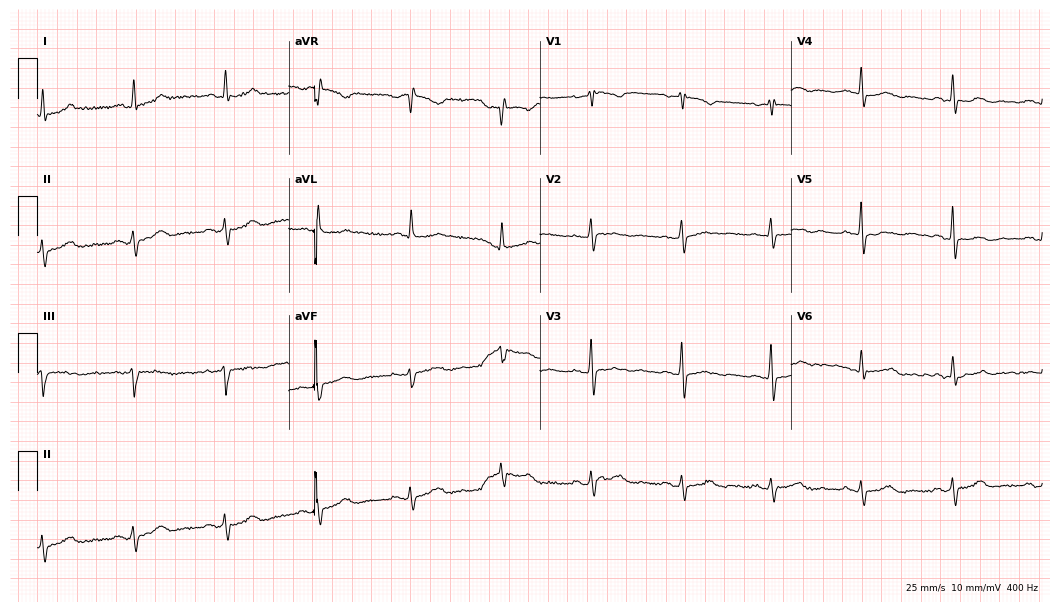
12-lead ECG from a woman, 66 years old (10.2-second recording at 400 Hz). No first-degree AV block, right bundle branch block (RBBB), left bundle branch block (LBBB), sinus bradycardia, atrial fibrillation (AF) or sinus tachycardia recorded for this tracing. Other findings, if any, are not listed.